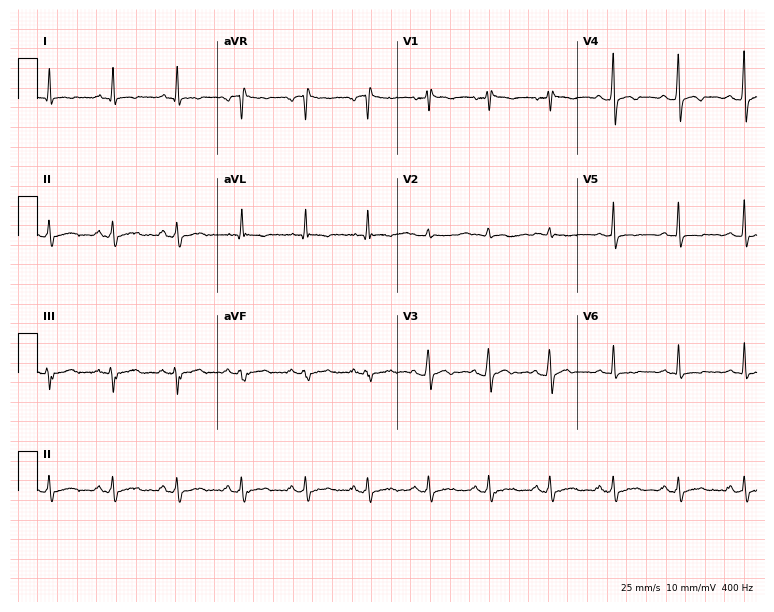
12-lead ECG from a 46-year-old male (7.3-second recording at 400 Hz). No first-degree AV block, right bundle branch block (RBBB), left bundle branch block (LBBB), sinus bradycardia, atrial fibrillation (AF) or sinus tachycardia recorded for this tracing. Other findings, if any, are not listed.